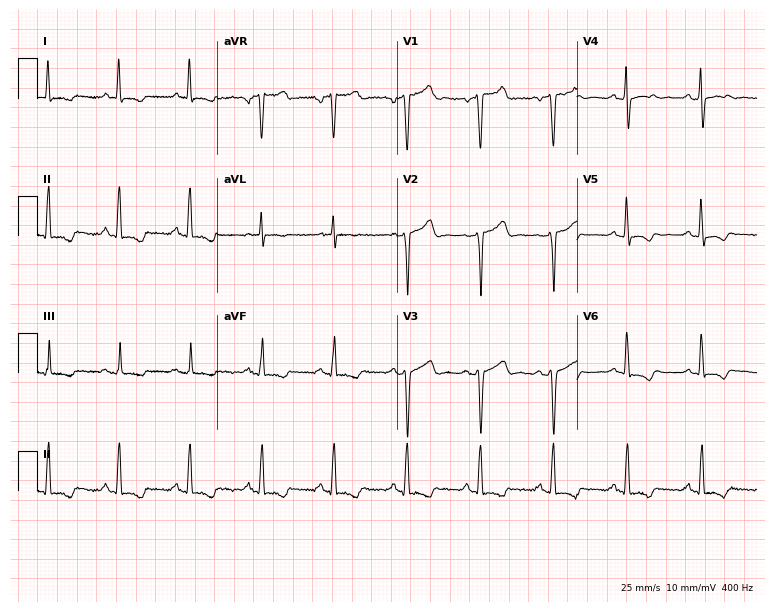
Resting 12-lead electrocardiogram (7.3-second recording at 400 Hz). Patient: a 46-year-old female. None of these six findings is recorded: first-degree AV block, right bundle branch block (RBBB), left bundle branch block (LBBB), sinus bradycardia, atrial fibrillation (AF), sinus tachycardia.